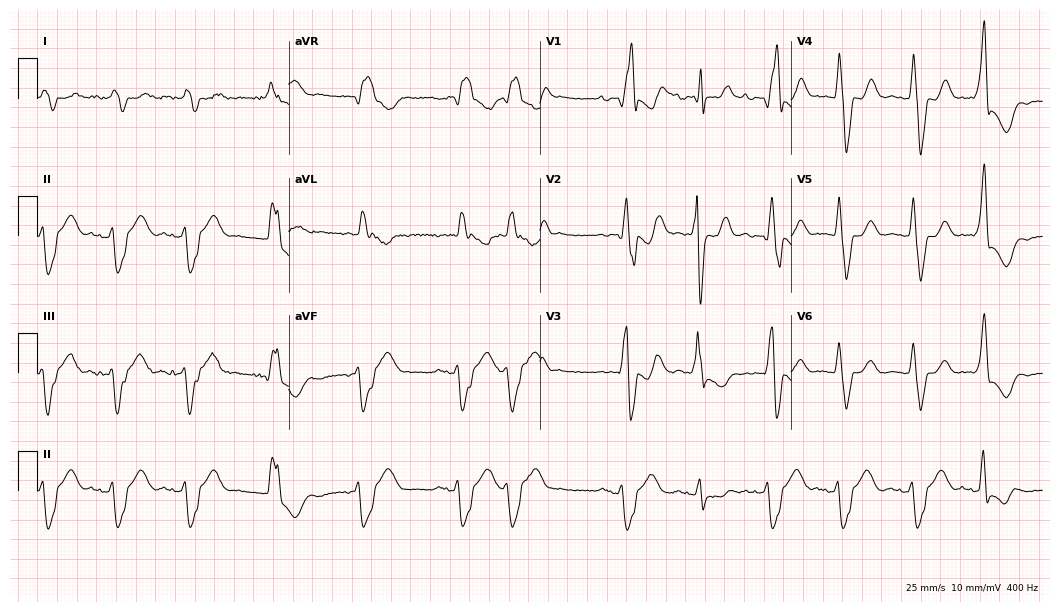
Resting 12-lead electrocardiogram (10.2-second recording at 400 Hz). Patient: an 82-year-old male. The tracing shows right bundle branch block, atrial fibrillation.